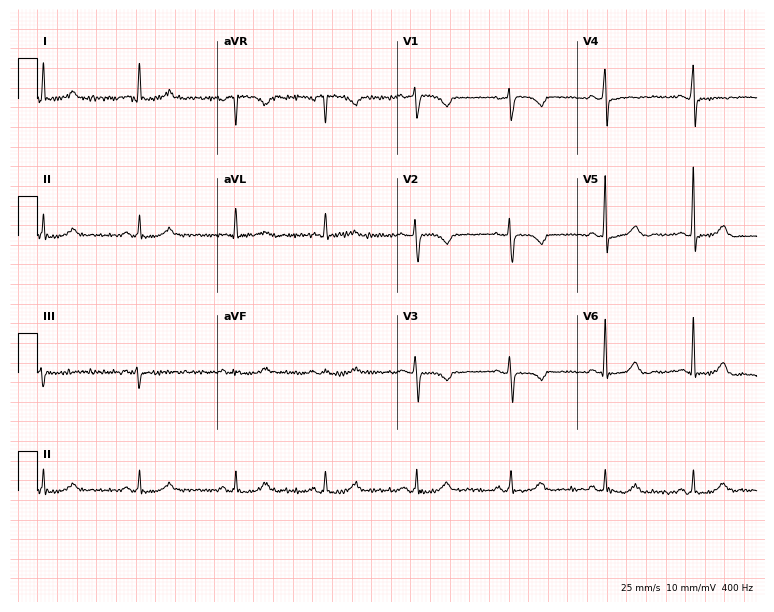
12-lead ECG from a 65-year-old woman (7.3-second recording at 400 Hz). No first-degree AV block, right bundle branch block, left bundle branch block, sinus bradycardia, atrial fibrillation or sinus tachycardia recorded for this tracing. Findings outside these six are not listed.